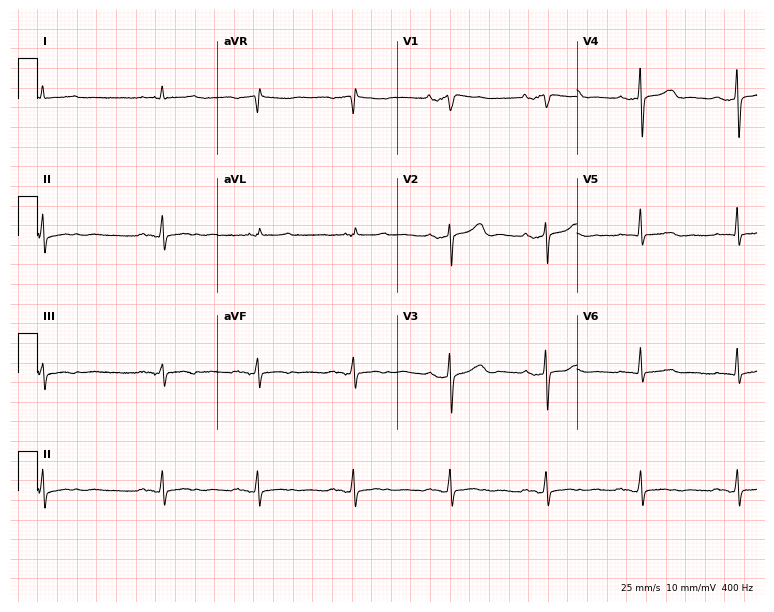
ECG — a 72-year-old man. Labelled as a normal ECG.